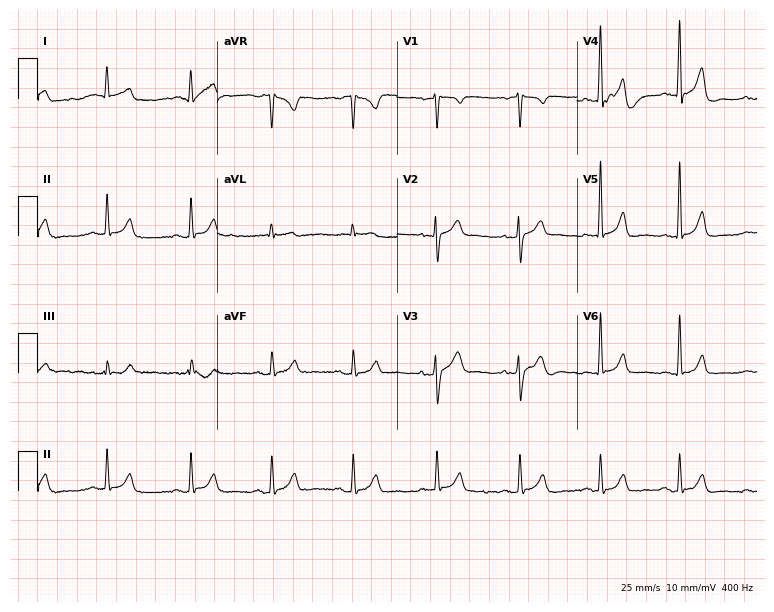
12-lead ECG from a 36-year-old man (7.3-second recording at 400 Hz). Recorded interpretation: within normal limits.